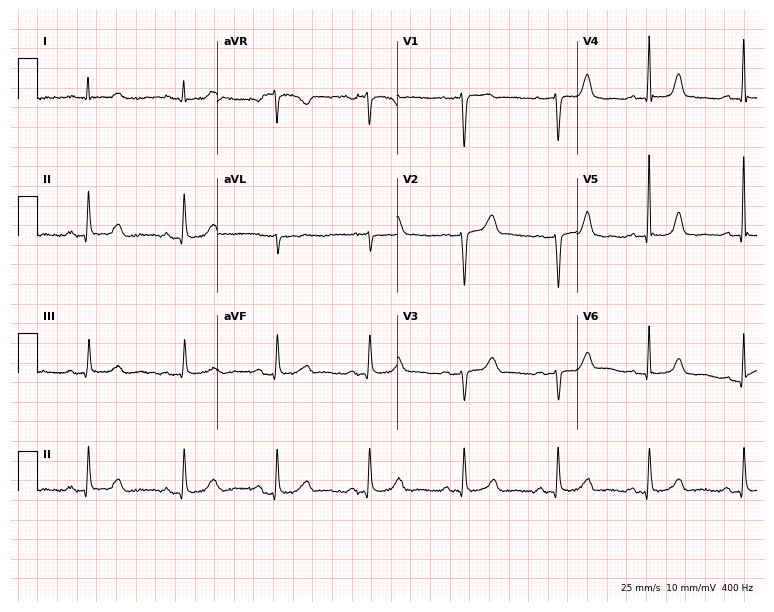
ECG — a 77-year-old female. Screened for six findings — first-degree AV block, right bundle branch block, left bundle branch block, sinus bradycardia, atrial fibrillation, sinus tachycardia — none is recorded. Findings outside these six are not listed.